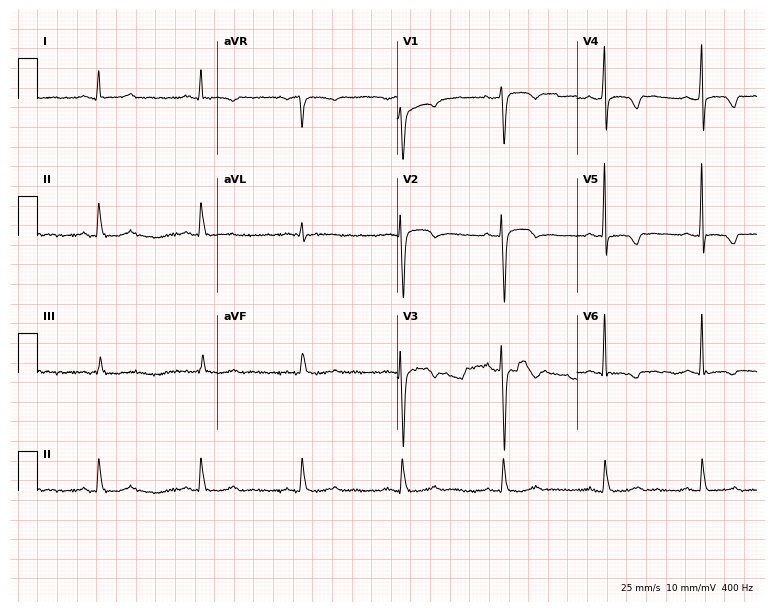
12-lead ECG from a male patient, 48 years old. Screened for six findings — first-degree AV block, right bundle branch block, left bundle branch block, sinus bradycardia, atrial fibrillation, sinus tachycardia — none is recorded.